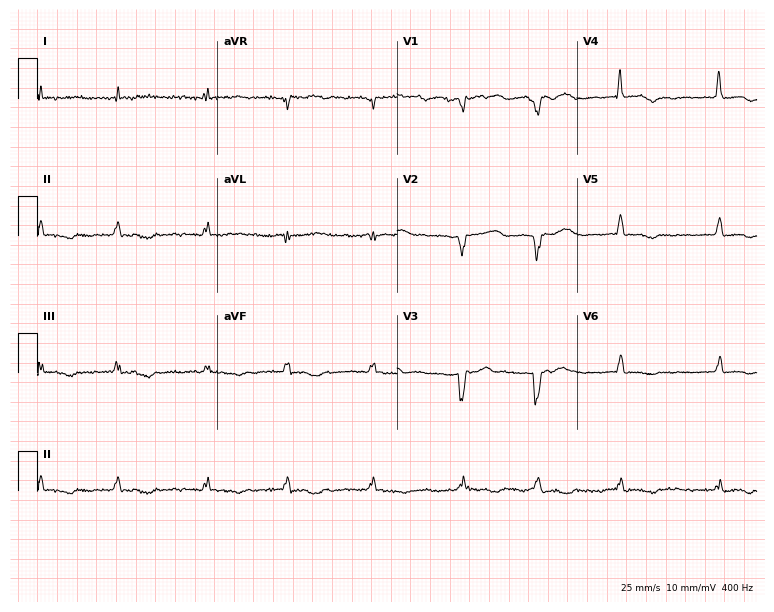
Standard 12-lead ECG recorded from a woman, 66 years old (7.3-second recording at 400 Hz). None of these six findings is recorded: first-degree AV block, right bundle branch block, left bundle branch block, sinus bradycardia, atrial fibrillation, sinus tachycardia. Only these six findings were labelled.